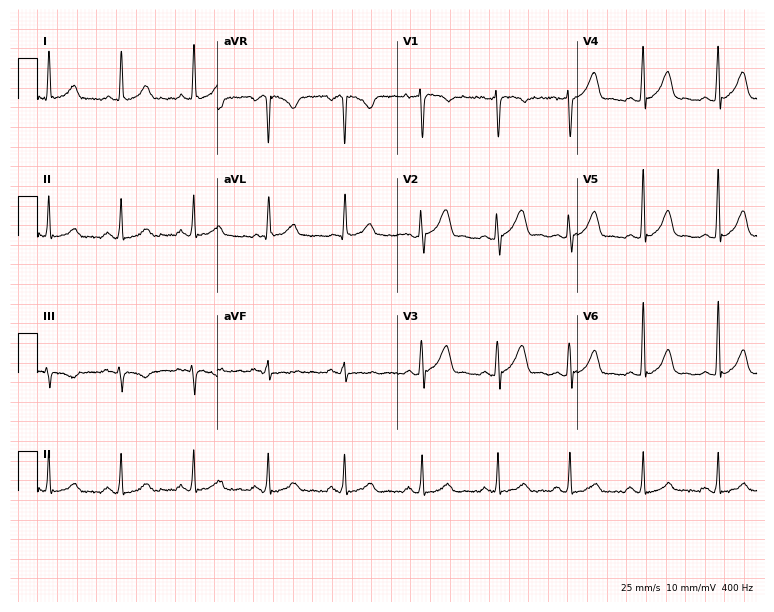
Standard 12-lead ECG recorded from a woman, 42 years old (7.3-second recording at 400 Hz). None of these six findings is recorded: first-degree AV block, right bundle branch block (RBBB), left bundle branch block (LBBB), sinus bradycardia, atrial fibrillation (AF), sinus tachycardia.